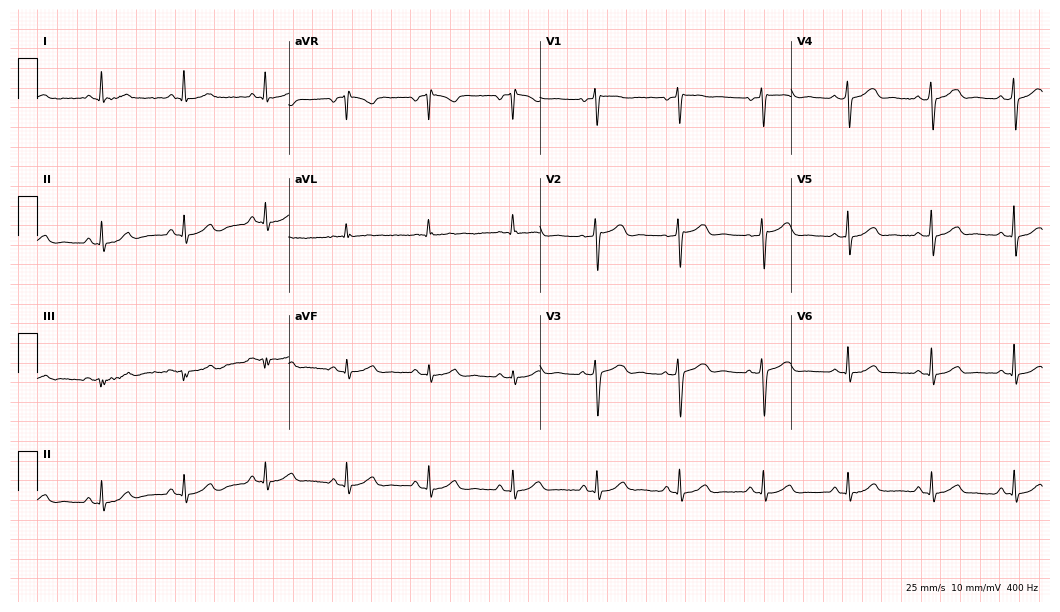
Electrocardiogram, a woman, 52 years old. Of the six screened findings (first-degree AV block, right bundle branch block (RBBB), left bundle branch block (LBBB), sinus bradycardia, atrial fibrillation (AF), sinus tachycardia), none is recorded.